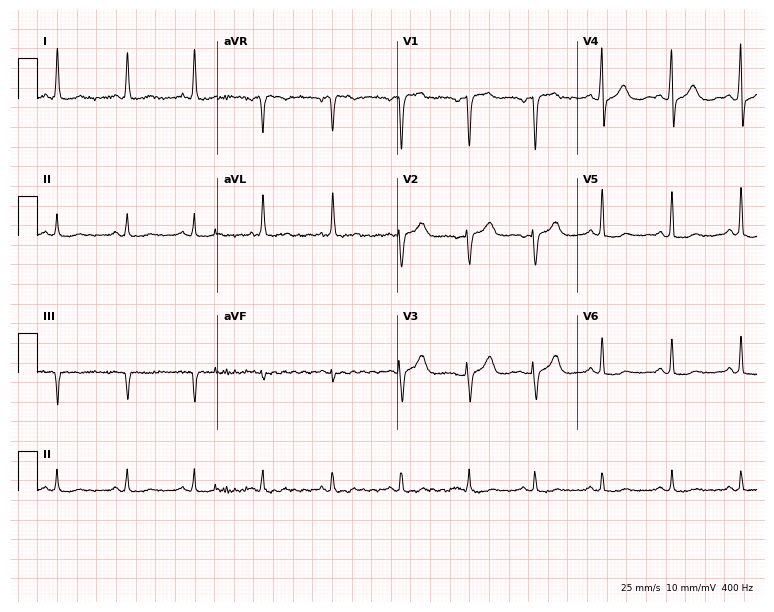
Standard 12-lead ECG recorded from a woman, 72 years old (7.3-second recording at 400 Hz). None of these six findings is recorded: first-degree AV block, right bundle branch block, left bundle branch block, sinus bradycardia, atrial fibrillation, sinus tachycardia. Only these six findings were labelled.